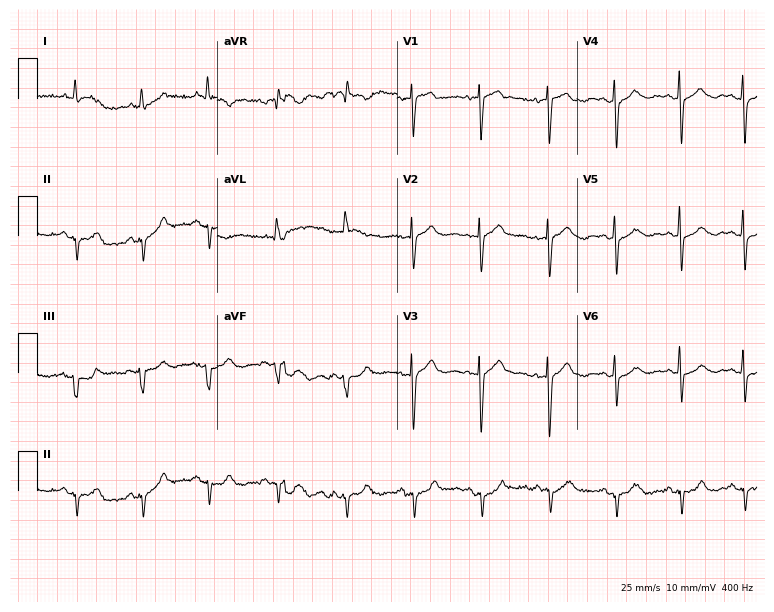
ECG (7.3-second recording at 400 Hz) — a 77-year-old female. Screened for six findings — first-degree AV block, right bundle branch block (RBBB), left bundle branch block (LBBB), sinus bradycardia, atrial fibrillation (AF), sinus tachycardia — none is recorded. Other findings, if any, are not listed.